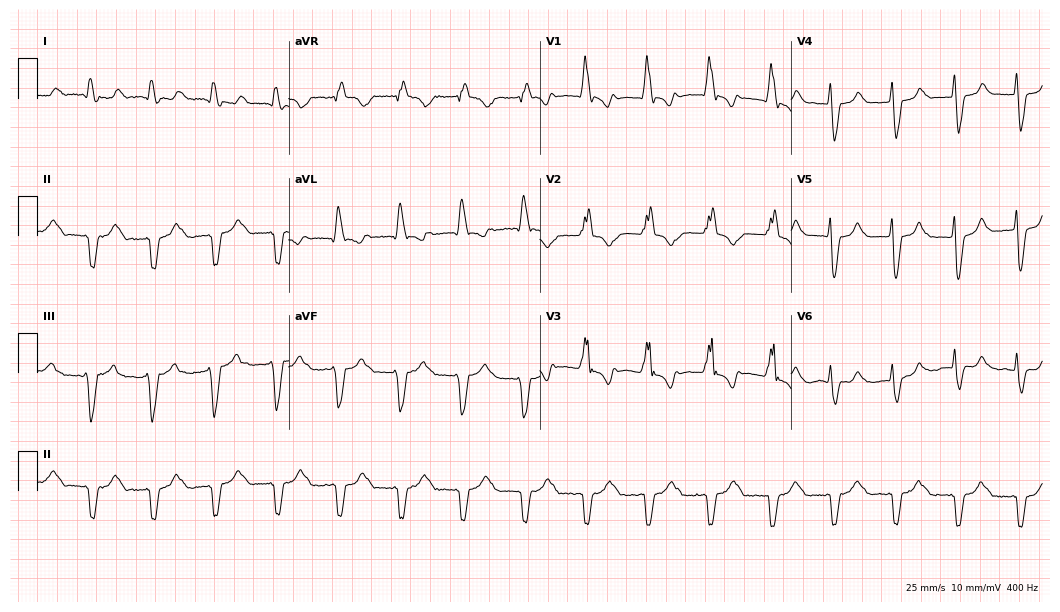
Standard 12-lead ECG recorded from a 69-year-old male. The tracing shows right bundle branch block.